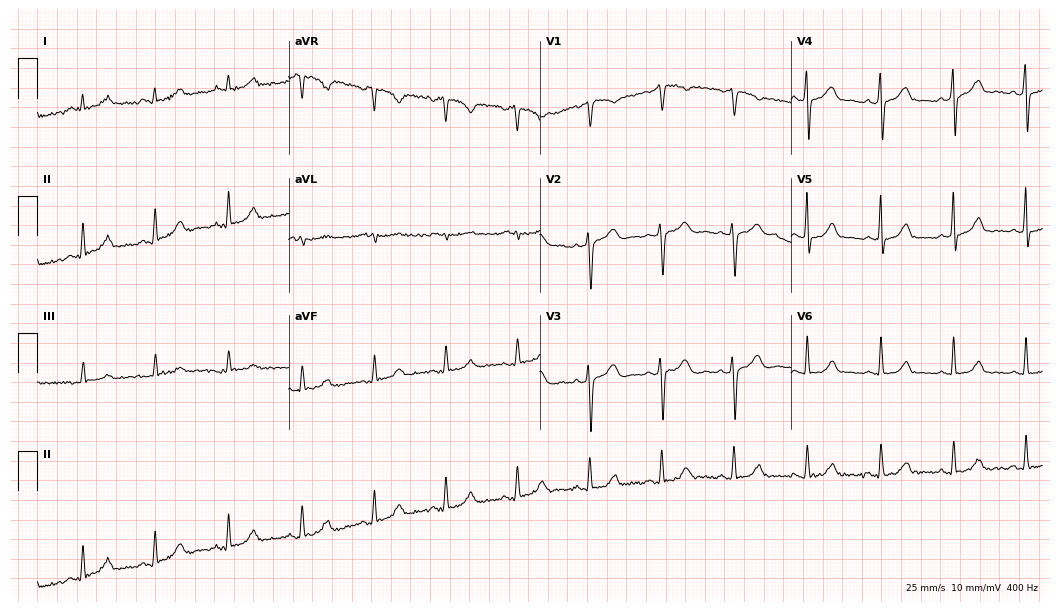
Electrocardiogram (10.2-second recording at 400 Hz), a 36-year-old woman. Overall reading on record: normal ECG.